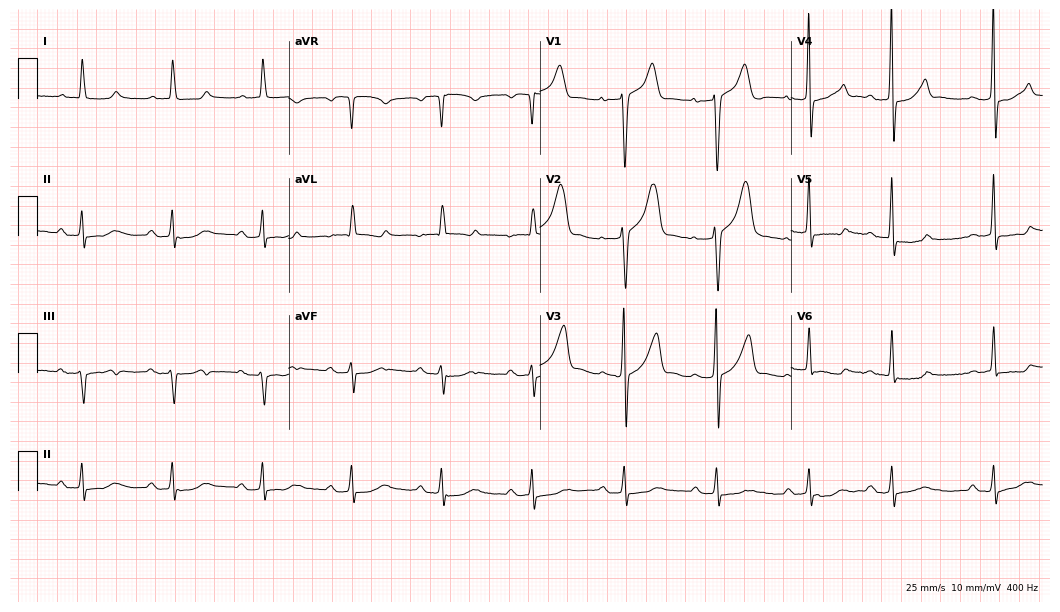
ECG — a male, 65 years old. Findings include first-degree AV block.